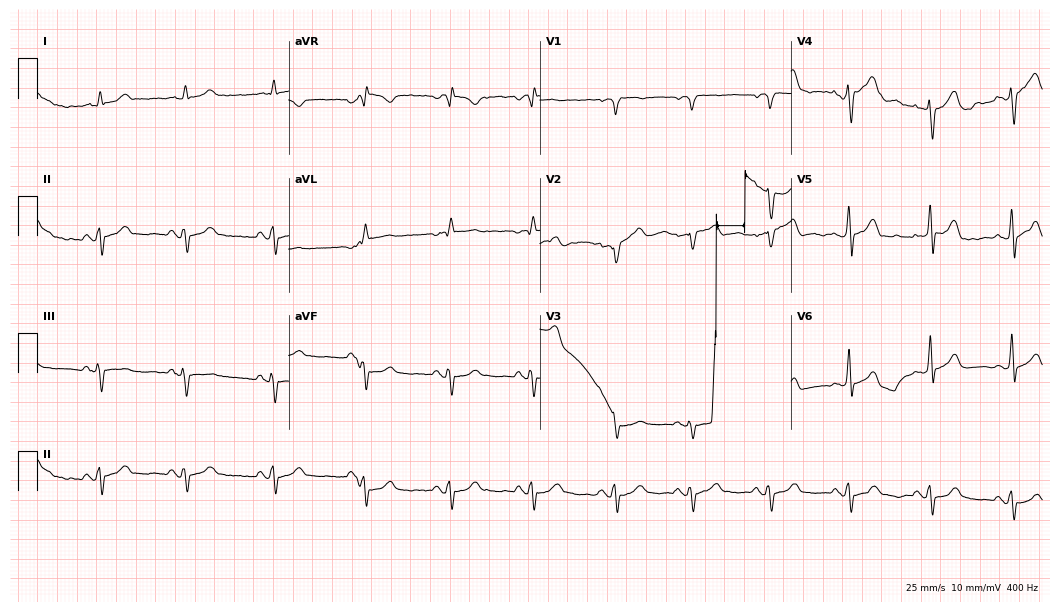
12-lead ECG from a 60-year-old male patient (10.2-second recording at 400 Hz). No first-degree AV block, right bundle branch block (RBBB), left bundle branch block (LBBB), sinus bradycardia, atrial fibrillation (AF) or sinus tachycardia recorded for this tracing.